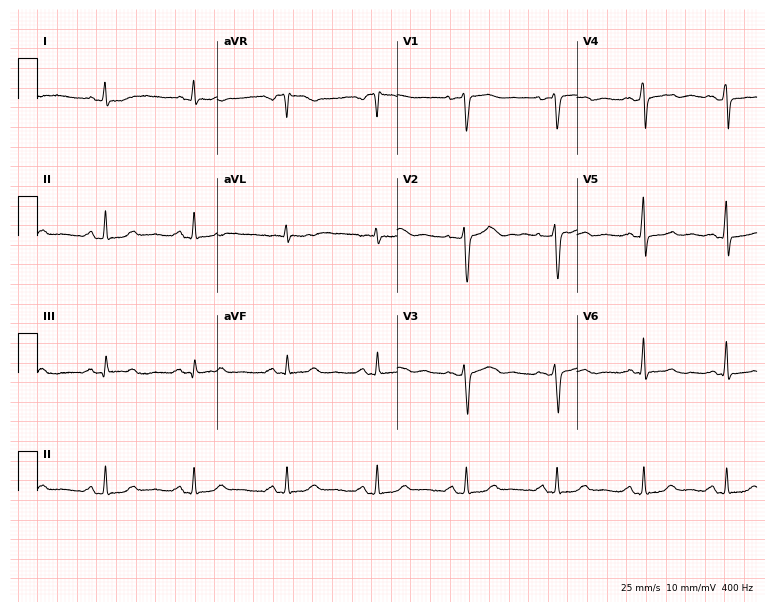
12-lead ECG from a female patient, 70 years old. No first-degree AV block, right bundle branch block (RBBB), left bundle branch block (LBBB), sinus bradycardia, atrial fibrillation (AF) or sinus tachycardia recorded for this tracing. Only these six findings were labelled.